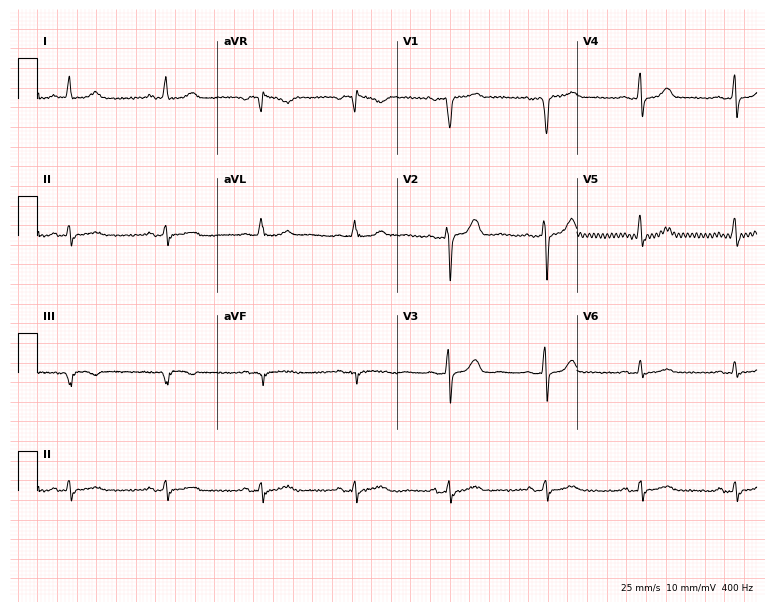
Resting 12-lead electrocardiogram (7.3-second recording at 400 Hz). Patient: a female, 60 years old. Read as a normal ECG.